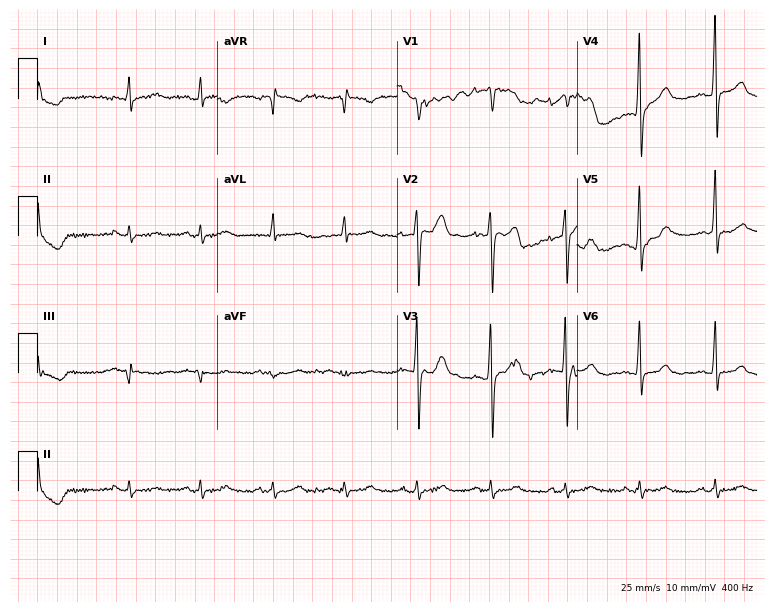
Standard 12-lead ECG recorded from a man, 68 years old. None of these six findings is recorded: first-degree AV block, right bundle branch block, left bundle branch block, sinus bradycardia, atrial fibrillation, sinus tachycardia.